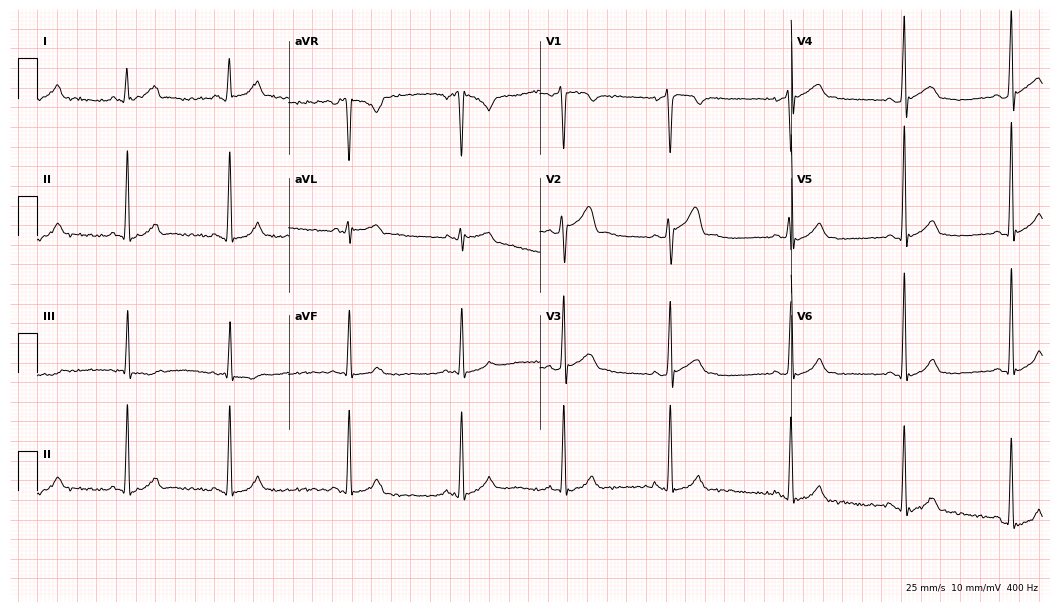
Electrocardiogram, a male patient, 23 years old. Overall reading on record: normal ECG.